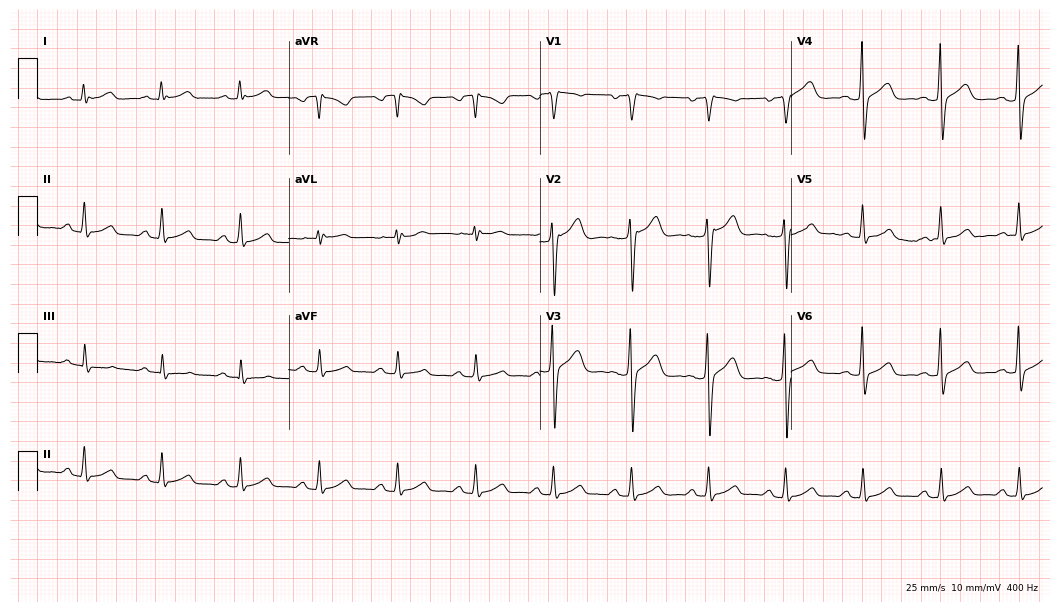
12-lead ECG (10.2-second recording at 400 Hz) from a man, 58 years old. Screened for six findings — first-degree AV block, right bundle branch block, left bundle branch block, sinus bradycardia, atrial fibrillation, sinus tachycardia — none is recorded.